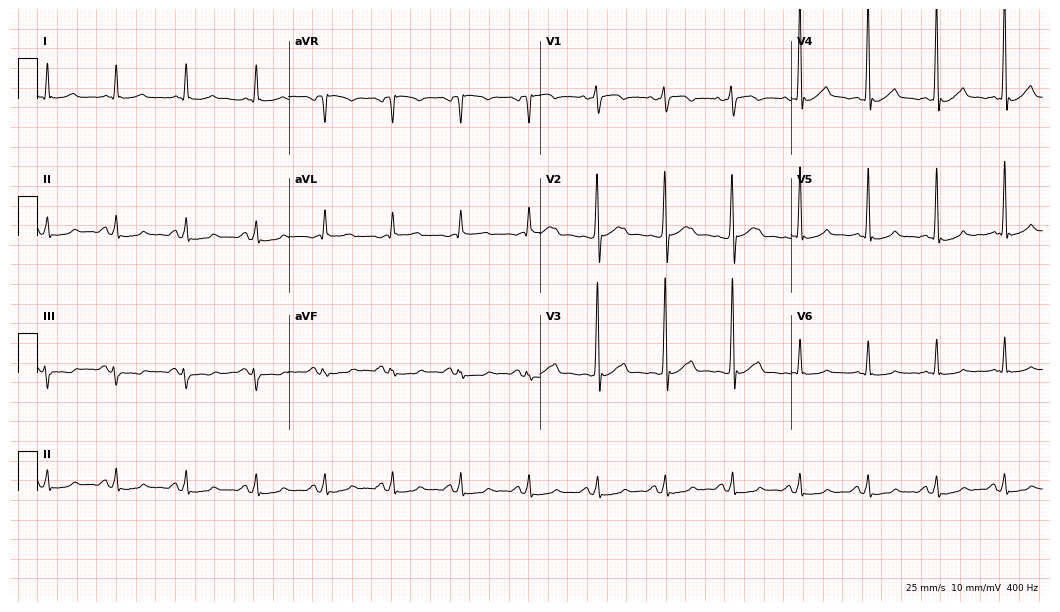
Resting 12-lead electrocardiogram. Patient: a male, 56 years old. None of these six findings is recorded: first-degree AV block, right bundle branch block, left bundle branch block, sinus bradycardia, atrial fibrillation, sinus tachycardia. Other findings, if any, are not listed.